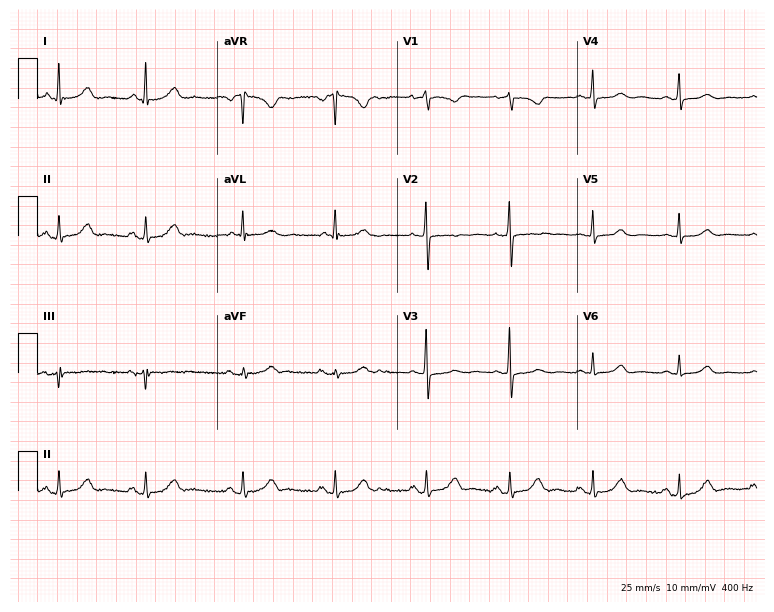
Standard 12-lead ECG recorded from a woman, 62 years old. Read as a normal ECG.